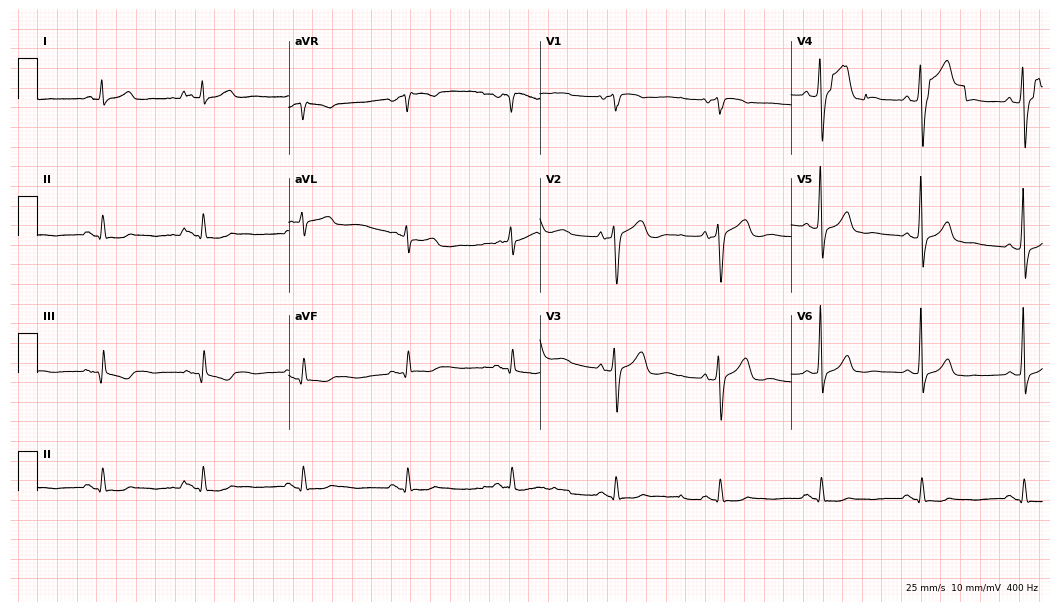
ECG (10.2-second recording at 400 Hz) — a man, 61 years old. Screened for six findings — first-degree AV block, right bundle branch block (RBBB), left bundle branch block (LBBB), sinus bradycardia, atrial fibrillation (AF), sinus tachycardia — none is recorded.